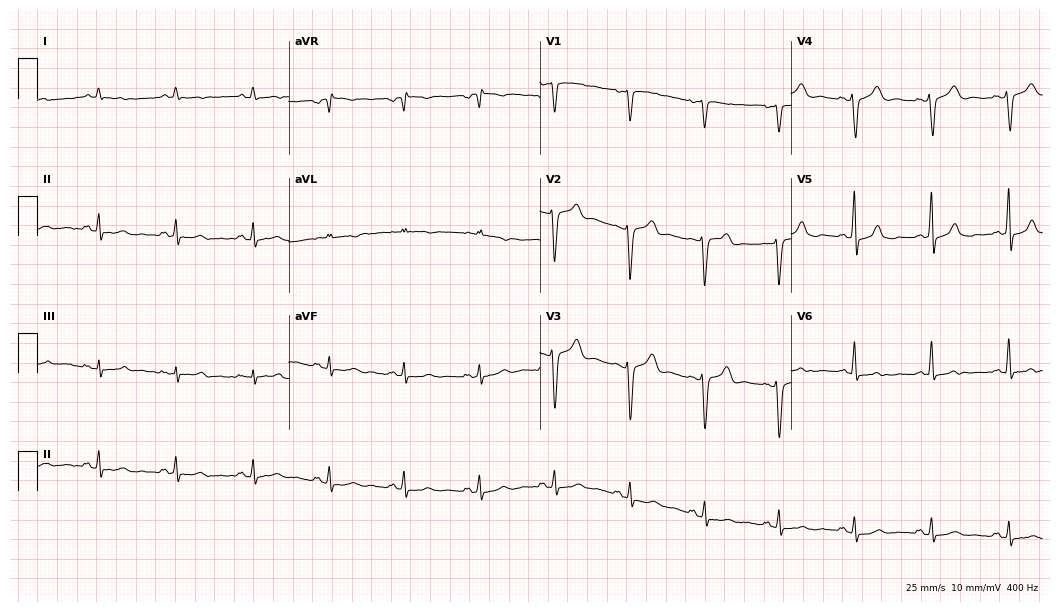
ECG (10.2-second recording at 400 Hz) — a 60-year-old woman. Screened for six findings — first-degree AV block, right bundle branch block, left bundle branch block, sinus bradycardia, atrial fibrillation, sinus tachycardia — none is recorded.